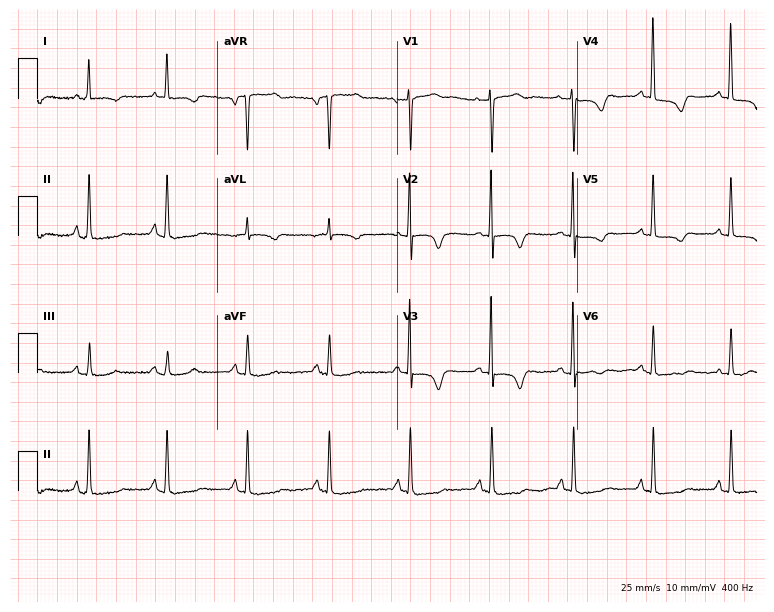
Standard 12-lead ECG recorded from a 70-year-old woman. None of these six findings is recorded: first-degree AV block, right bundle branch block (RBBB), left bundle branch block (LBBB), sinus bradycardia, atrial fibrillation (AF), sinus tachycardia. Other findings, if any, are not listed.